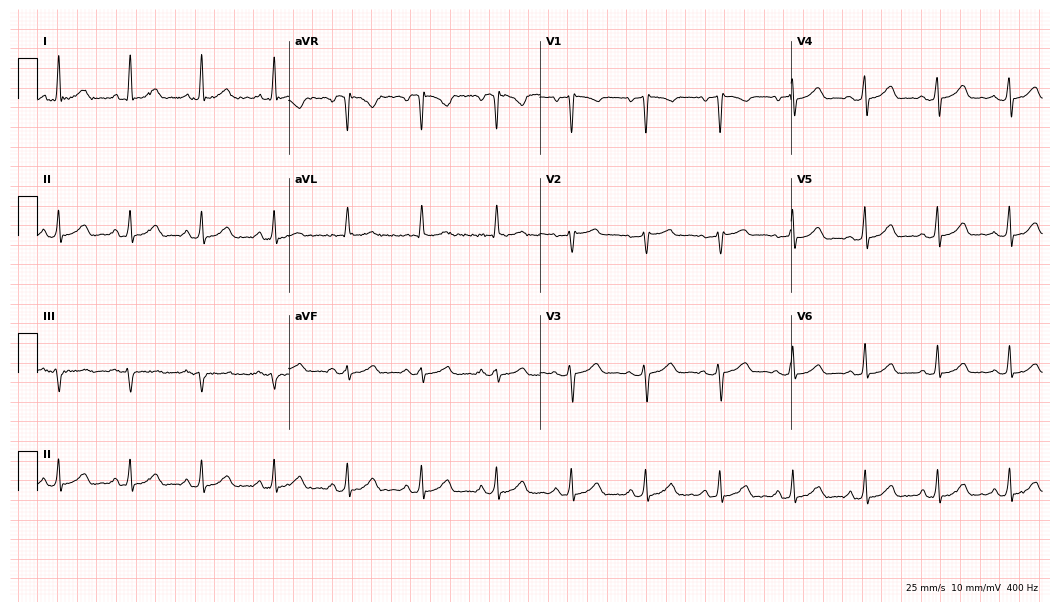
12-lead ECG from a female, 51 years old. Recorded interpretation: within normal limits.